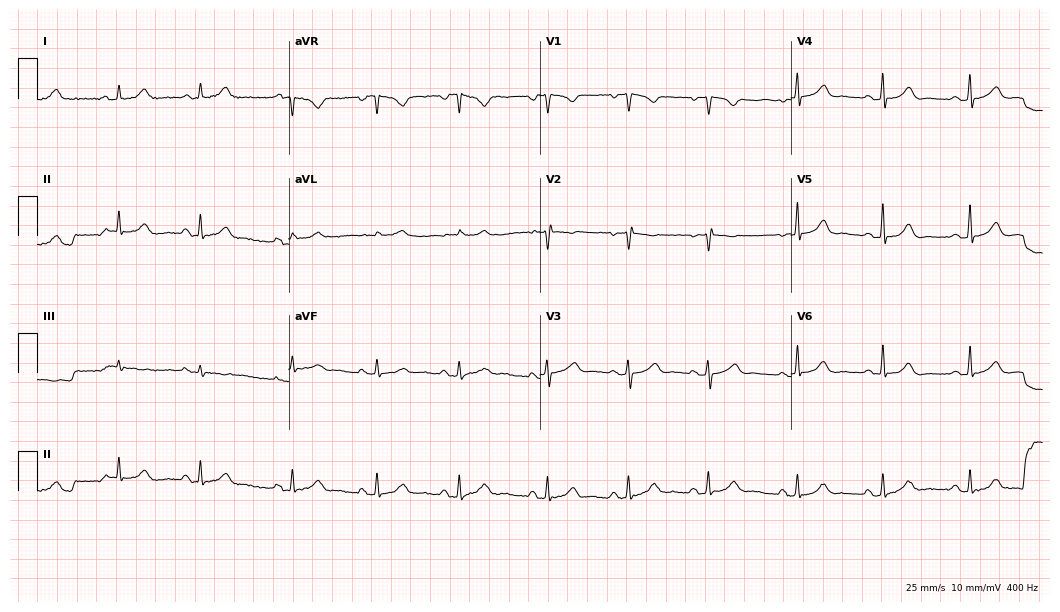
12-lead ECG from a female patient, 40 years old. Recorded interpretation: within normal limits.